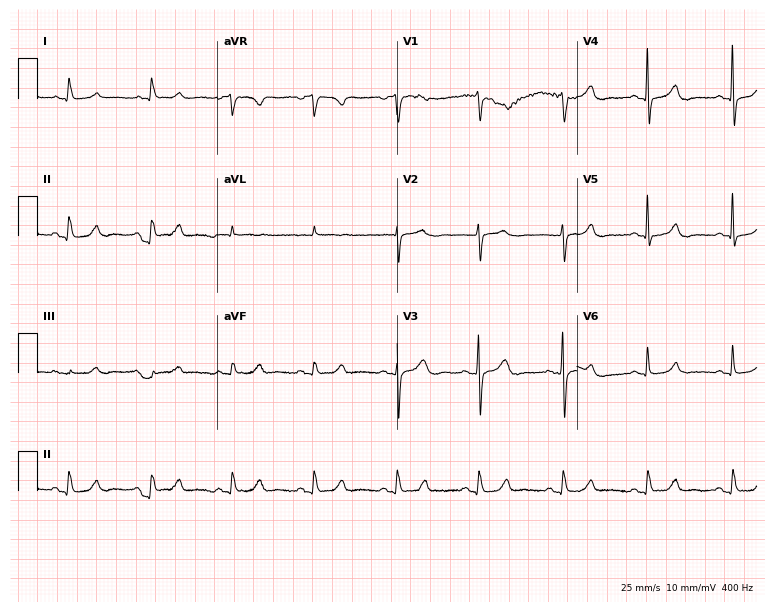
ECG — an 84-year-old woman. Labelled as a normal ECG.